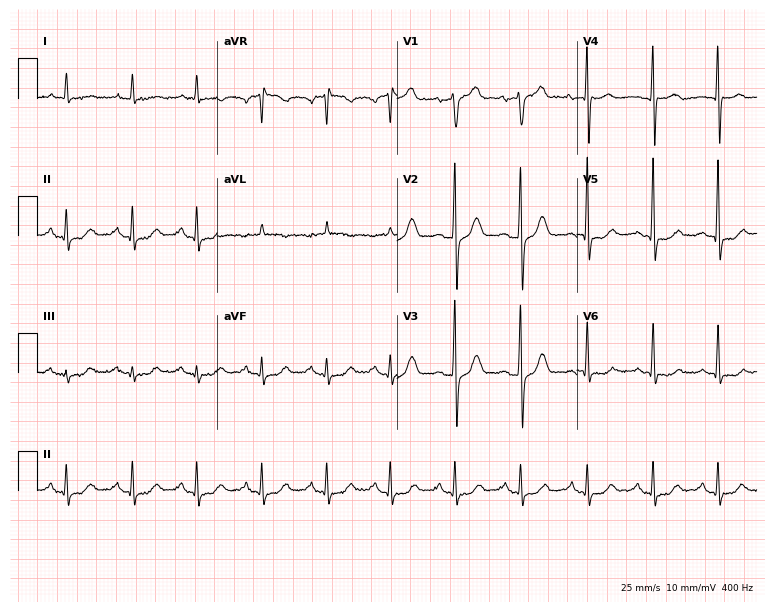
Electrocardiogram (7.3-second recording at 400 Hz), a 68-year-old male patient. Of the six screened findings (first-degree AV block, right bundle branch block (RBBB), left bundle branch block (LBBB), sinus bradycardia, atrial fibrillation (AF), sinus tachycardia), none is recorded.